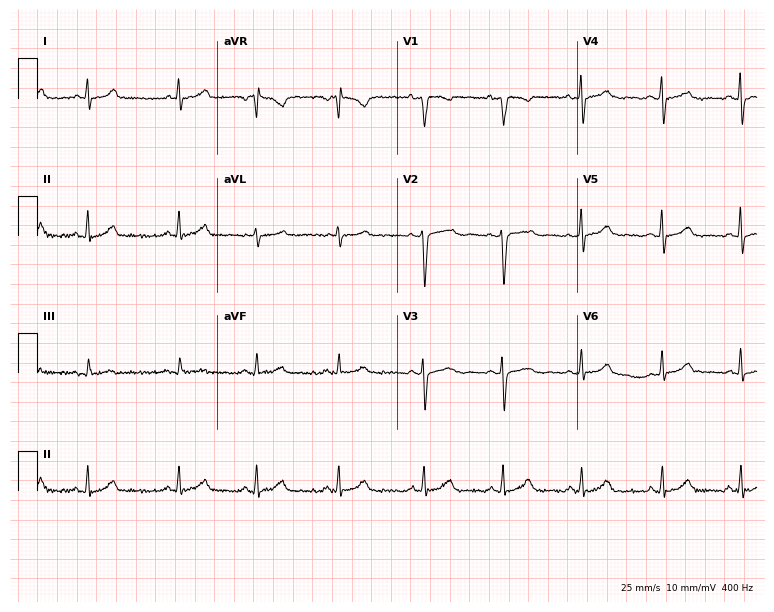
12-lead ECG from a 31-year-old female patient. Labelled as a normal ECG.